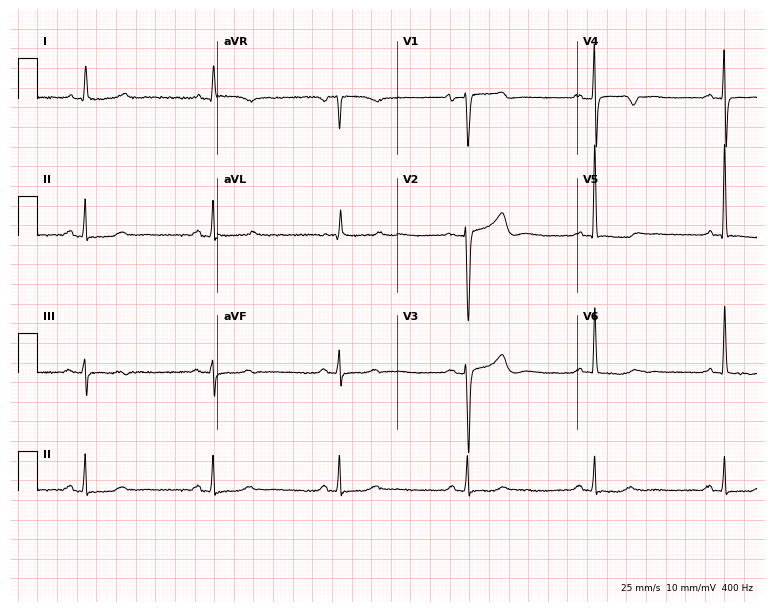
Standard 12-lead ECG recorded from an 84-year-old woman (7.3-second recording at 400 Hz). The tracing shows sinus bradycardia (a sinus rate of 50 beats per minute or less).